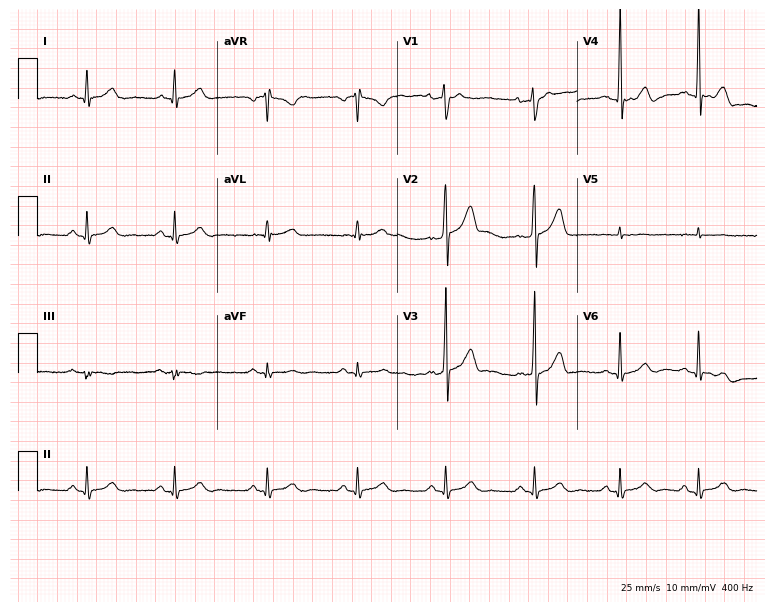
12-lead ECG from a man, 49 years old. Labelled as a normal ECG.